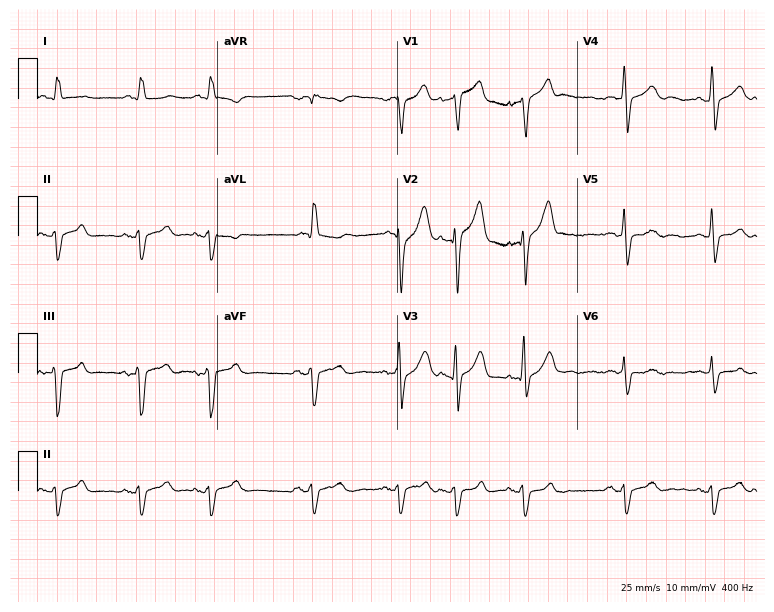
ECG — a male, 76 years old. Screened for six findings — first-degree AV block, right bundle branch block, left bundle branch block, sinus bradycardia, atrial fibrillation, sinus tachycardia — none is recorded. Findings outside these six are not listed.